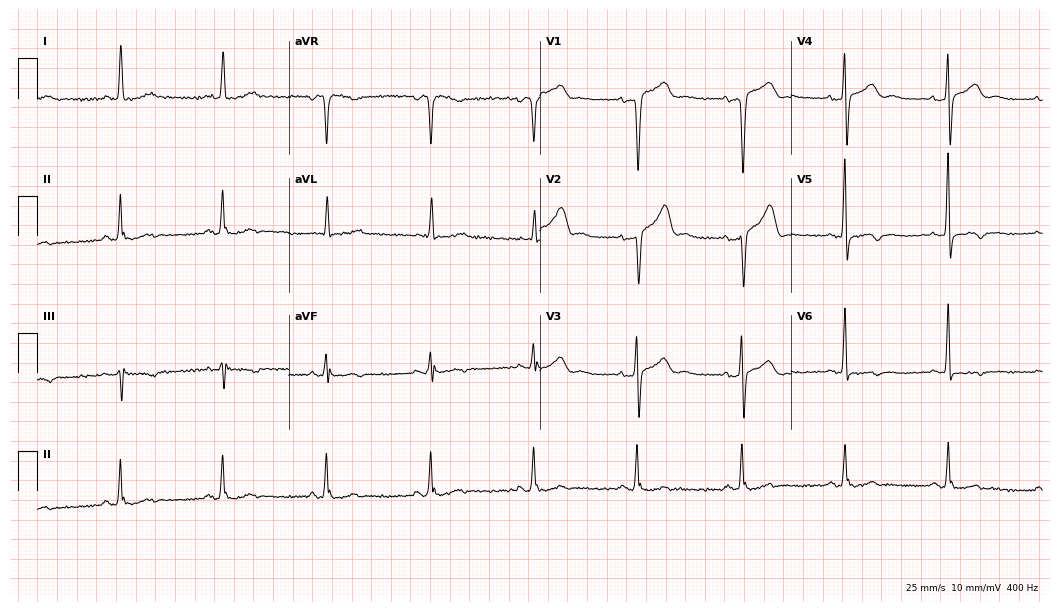
ECG — a 64-year-old female. Screened for six findings — first-degree AV block, right bundle branch block (RBBB), left bundle branch block (LBBB), sinus bradycardia, atrial fibrillation (AF), sinus tachycardia — none is recorded.